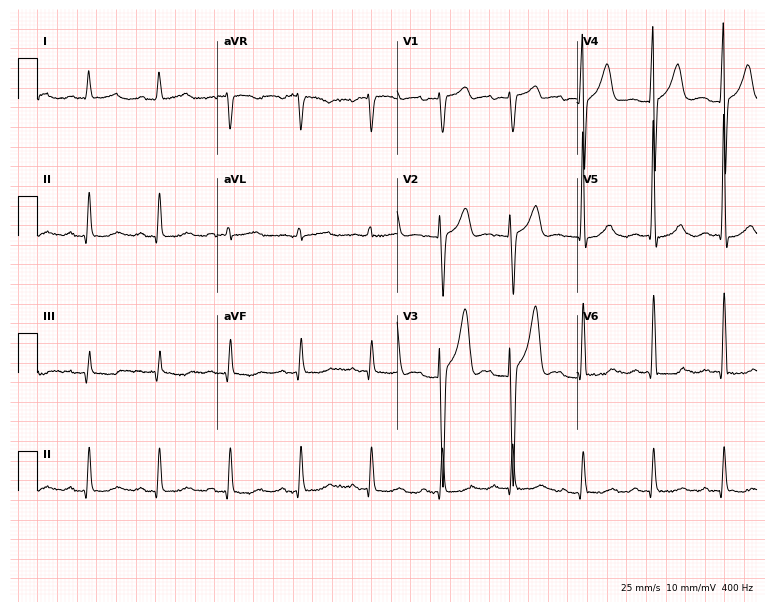
12-lead ECG (7.3-second recording at 400 Hz) from a male patient, 71 years old. Labelled as a normal ECG.